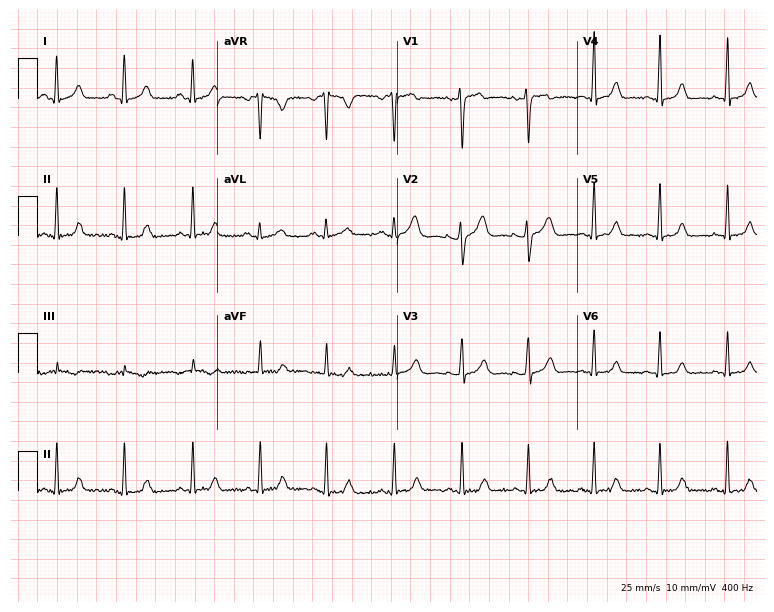
Standard 12-lead ECG recorded from a woman, 36 years old. Read as a normal ECG.